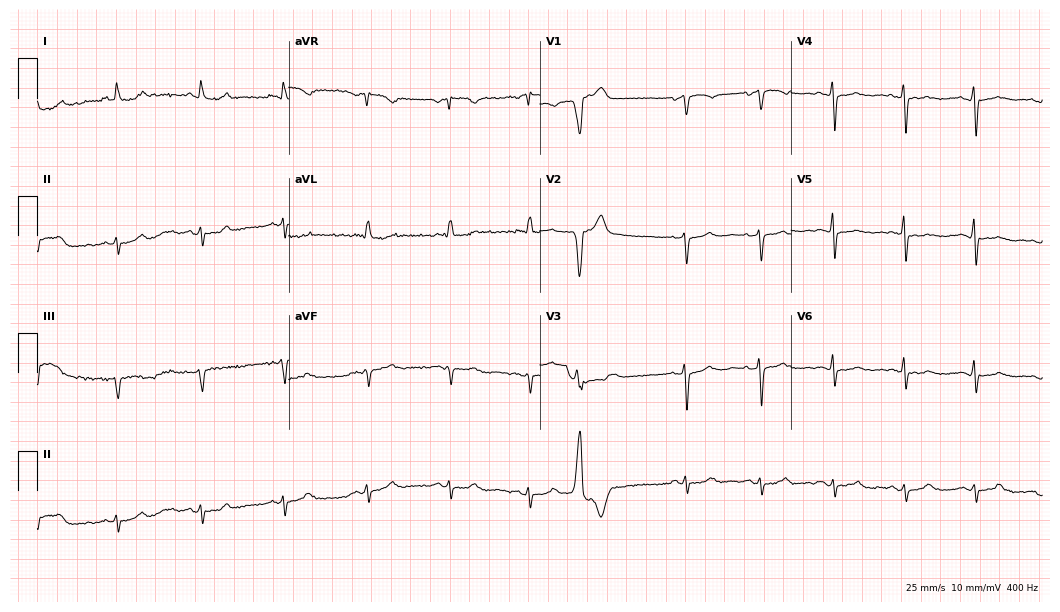
12-lead ECG from a 63-year-old woman (10.2-second recording at 400 Hz). No first-degree AV block, right bundle branch block (RBBB), left bundle branch block (LBBB), sinus bradycardia, atrial fibrillation (AF) or sinus tachycardia recorded for this tracing. Findings outside these six are not listed.